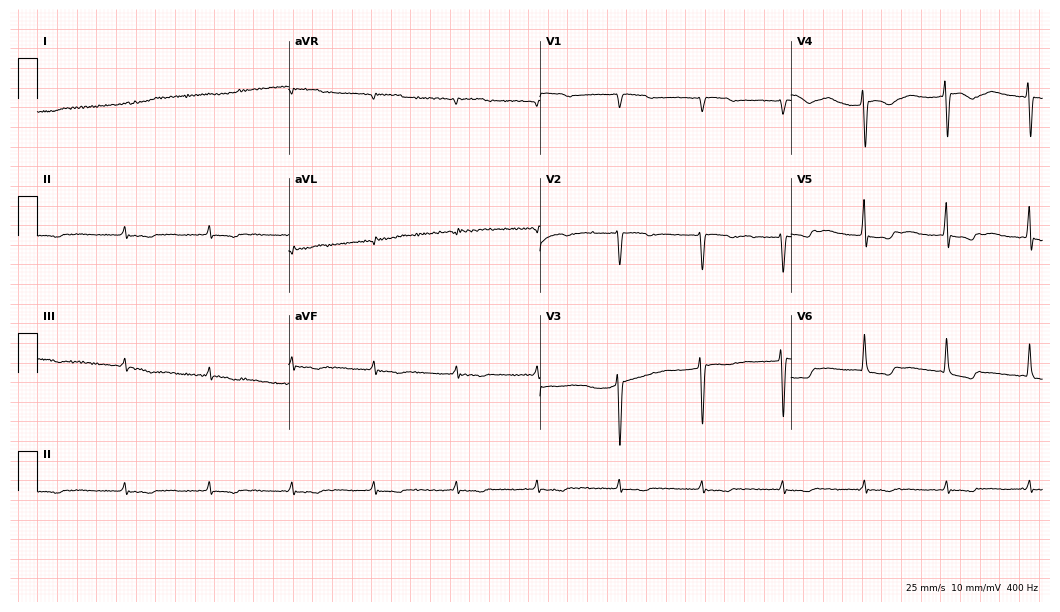
Electrocardiogram, a female, 76 years old. Of the six screened findings (first-degree AV block, right bundle branch block, left bundle branch block, sinus bradycardia, atrial fibrillation, sinus tachycardia), none is recorded. Findings outside these six are not listed.